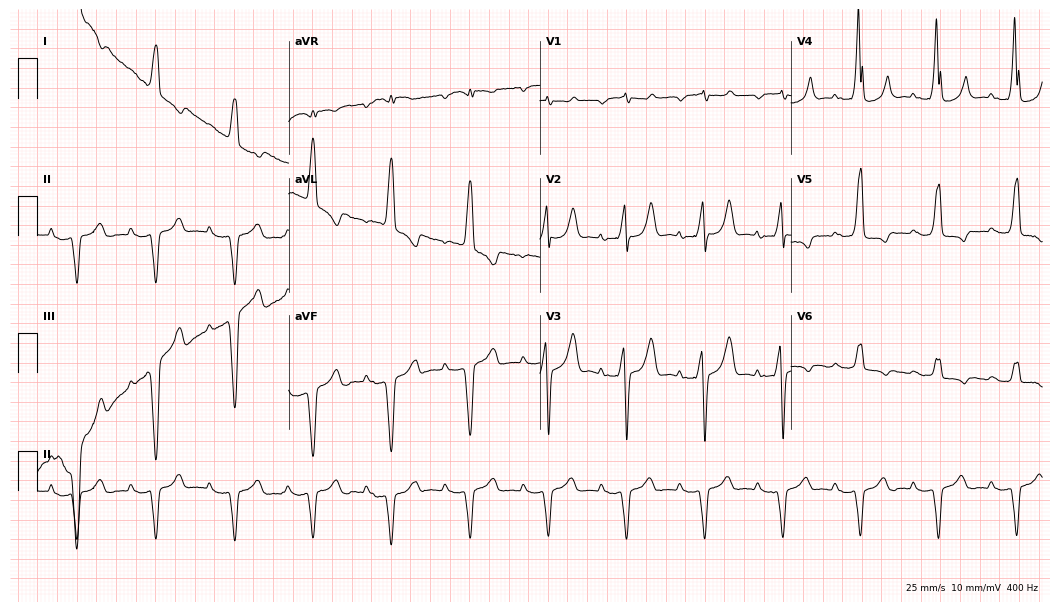
Electrocardiogram, an 84-year-old man. Of the six screened findings (first-degree AV block, right bundle branch block (RBBB), left bundle branch block (LBBB), sinus bradycardia, atrial fibrillation (AF), sinus tachycardia), none is recorded. Other findings, if any, are not listed.